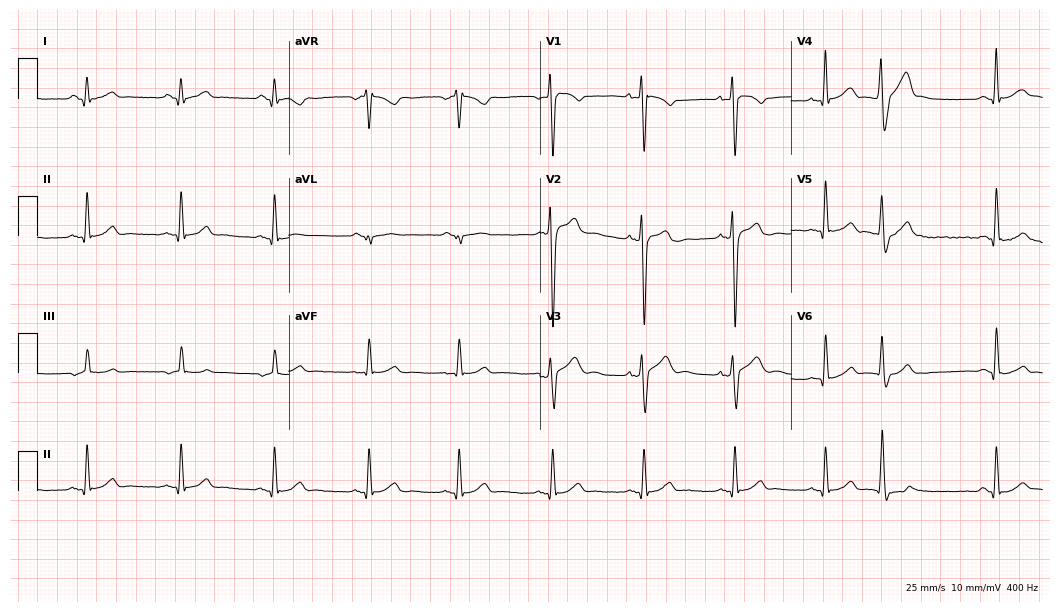
Standard 12-lead ECG recorded from a man, 29 years old. Read as a normal ECG.